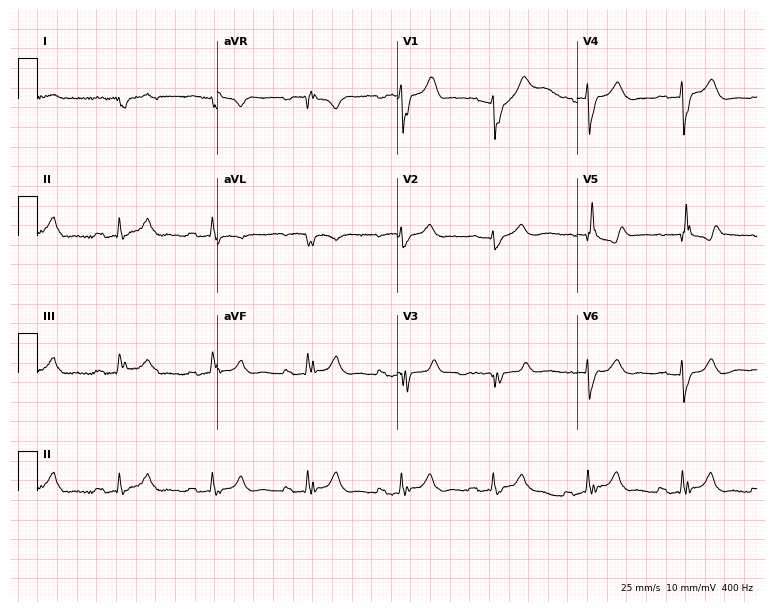
Resting 12-lead electrocardiogram (7.3-second recording at 400 Hz). Patient: a male, 60 years old. None of these six findings is recorded: first-degree AV block, right bundle branch block (RBBB), left bundle branch block (LBBB), sinus bradycardia, atrial fibrillation (AF), sinus tachycardia.